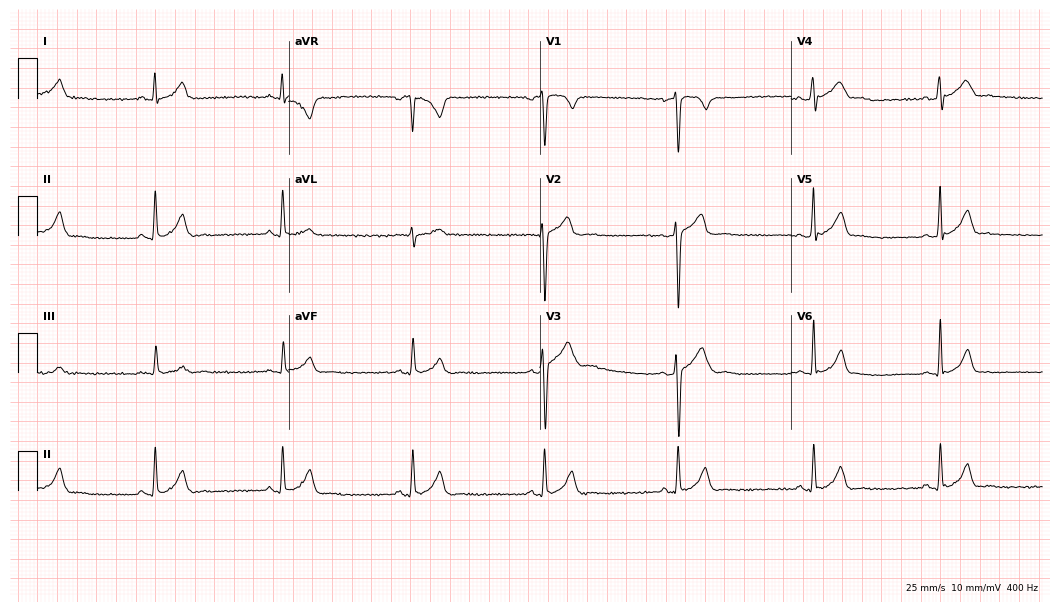
12-lead ECG (10.2-second recording at 400 Hz) from a 22-year-old man. Findings include sinus bradycardia (a sinus rate of 50 beats per minute or less).